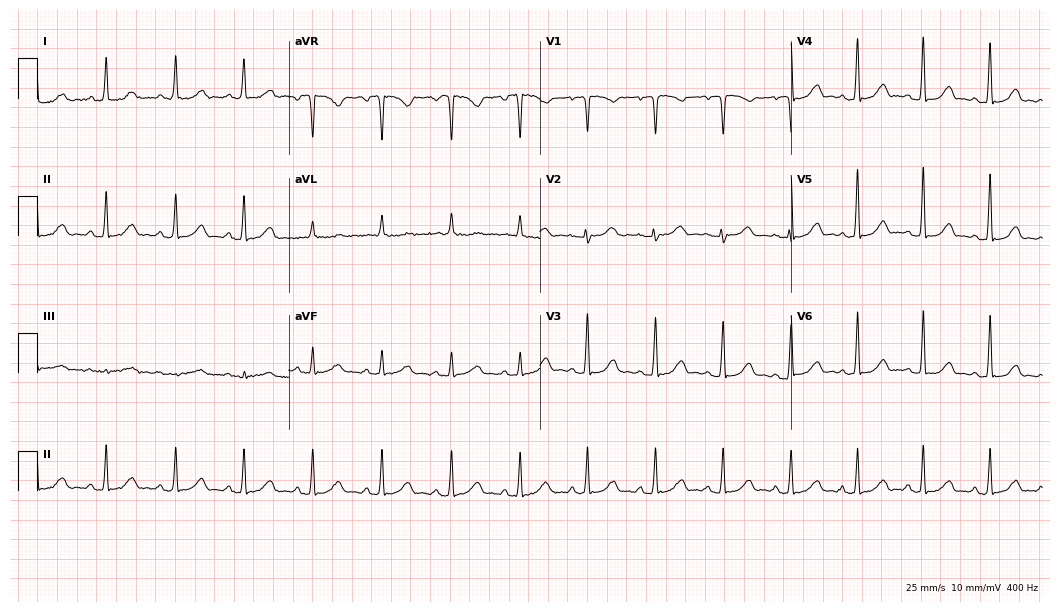
ECG — a female, 49 years old. Labelled as a normal ECG.